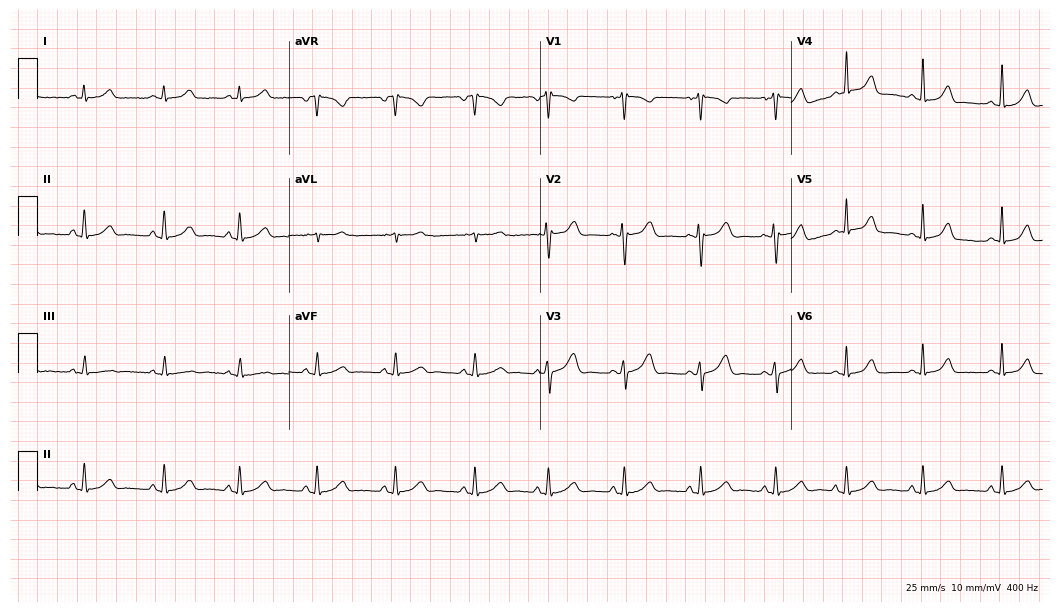
Resting 12-lead electrocardiogram. Patient: a woman, 28 years old. Read as a normal ECG.